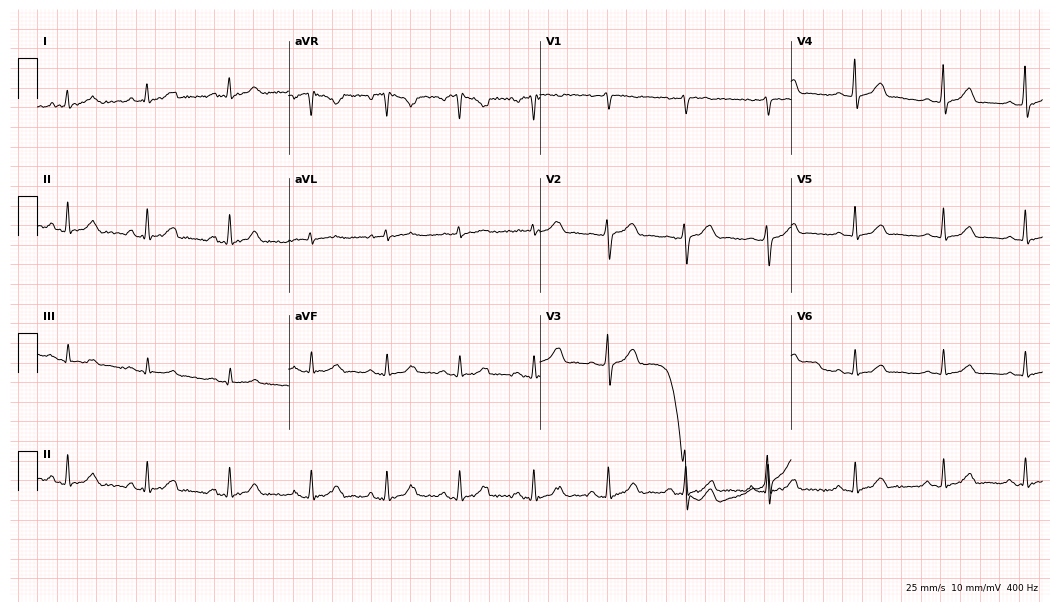
12-lead ECG from a female patient, 46 years old (10.2-second recording at 400 Hz). No first-degree AV block, right bundle branch block, left bundle branch block, sinus bradycardia, atrial fibrillation or sinus tachycardia recorded for this tracing. Findings outside these six are not listed.